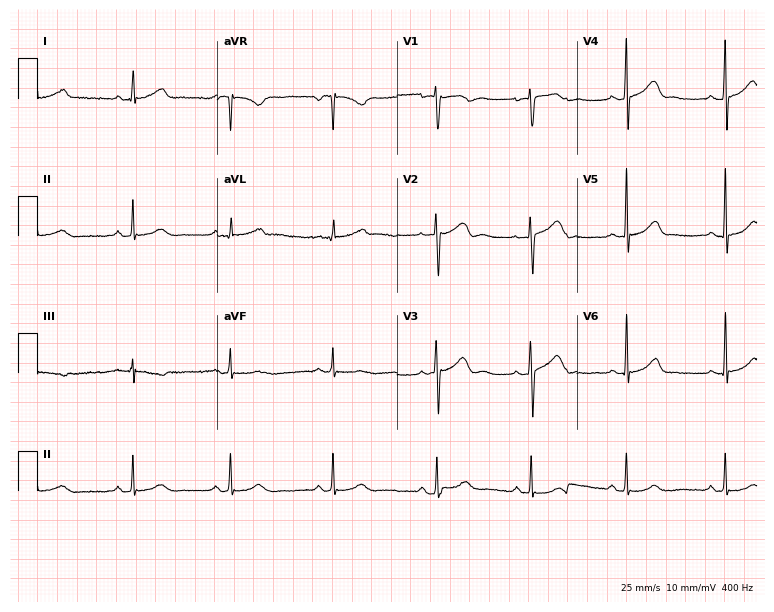
12-lead ECG from a 30-year-old female. Screened for six findings — first-degree AV block, right bundle branch block, left bundle branch block, sinus bradycardia, atrial fibrillation, sinus tachycardia — none is recorded. Only these six findings were labelled.